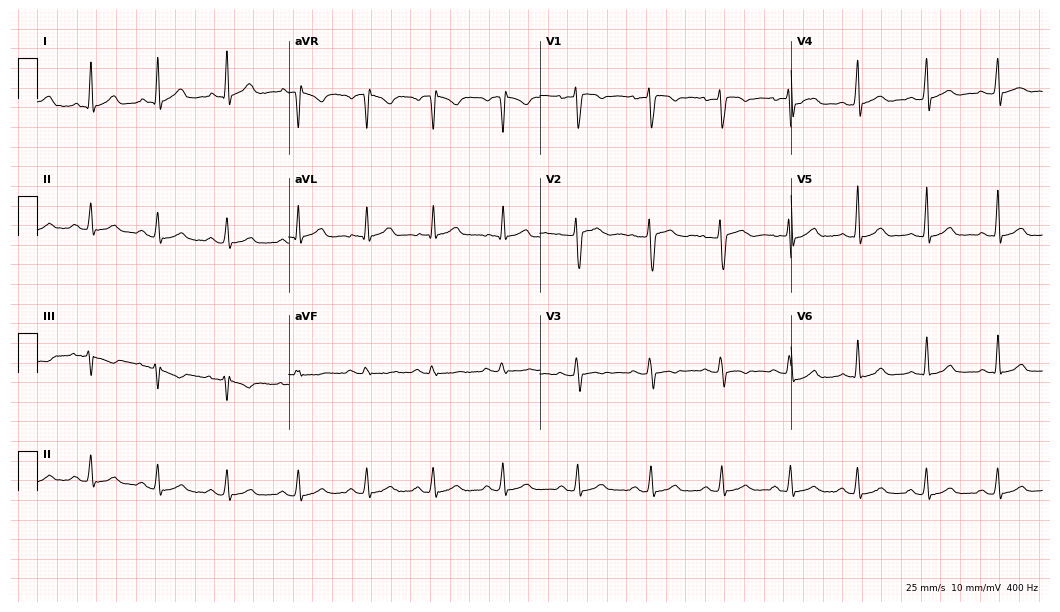
Standard 12-lead ECG recorded from a woman, 21 years old. Read as a normal ECG.